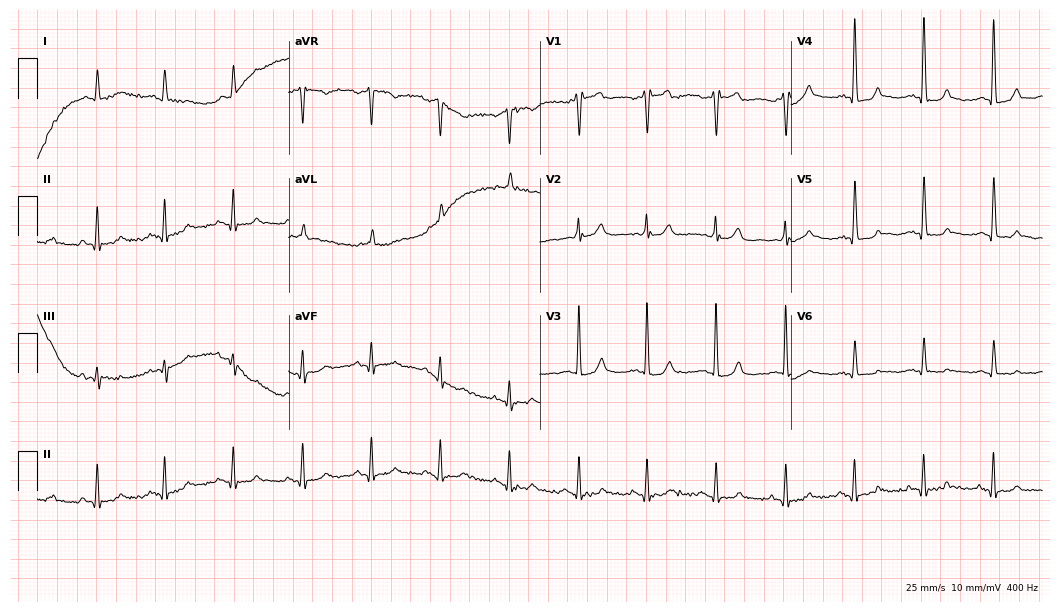
Standard 12-lead ECG recorded from a 74-year-old male (10.2-second recording at 400 Hz). None of these six findings is recorded: first-degree AV block, right bundle branch block (RBBB), left bundle branch block (LBBB), sinus bradycardia, atrial fibrillation (AF), sinus tachycardia.